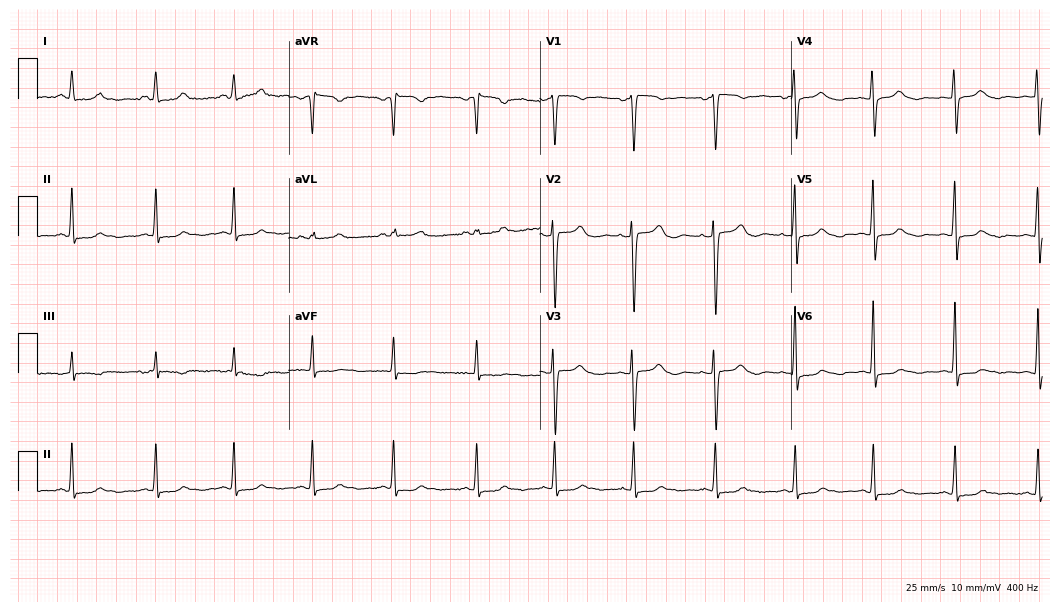
Standard 12-lead ECG recorded from a 51-year-old woman (10.2-second recording at 400 Hz). None of these six findings is recorded: first-degree AV block, right bundle branch block (RBBB), left bundle branch block (LBBB), sinus bradycardia, atrial fibrillation (AF), sinus tachycardia. Only these six findings were labelled.